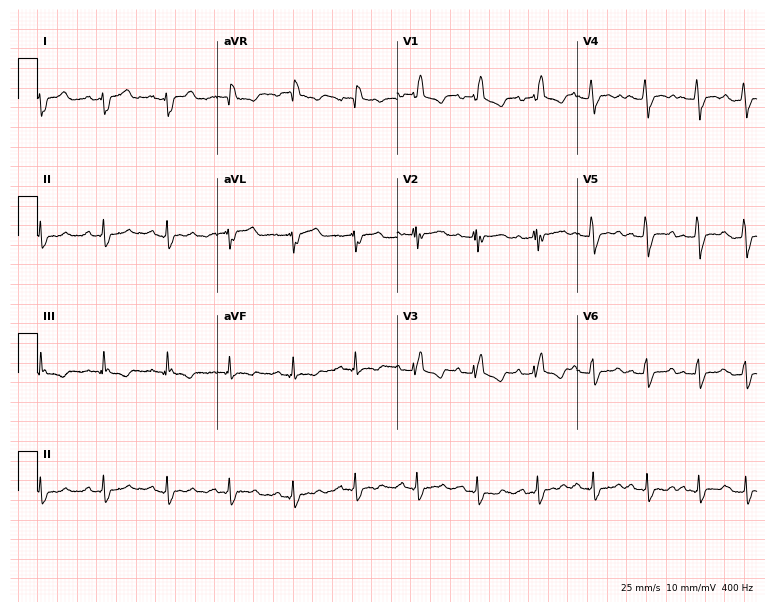
12-lead ECG from a 65-year-old woman (7.3-second recording at 400 Hz). Shows right bundle branch block, sinus tachycardia (a sinus rate of 100 beats per minute or more).